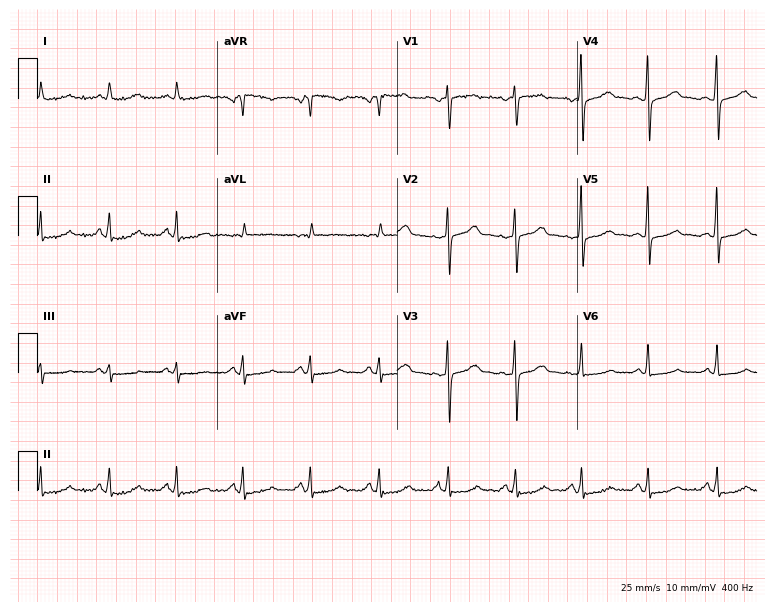
ECG — a 62-year-old female. Screened for six findings — first-degree AV block, right bundle branch block, left bundle branch block, sinus bradycardia, atrial fibrillation, sinus tachycardia — none is recorded. Other findings, if any, are not listed.